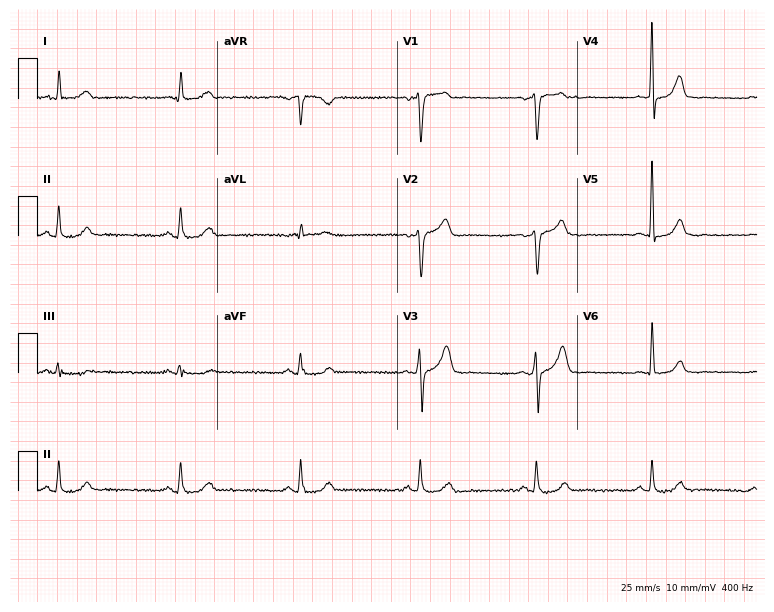
Electrocardiogram, a 61-year-old man. Of the six screened findings (first-degree AV block, right bundle branch block, left bundle branch block, sinus bradycardia, atrial fibrillation, sinus tachycardia), none is recorded.